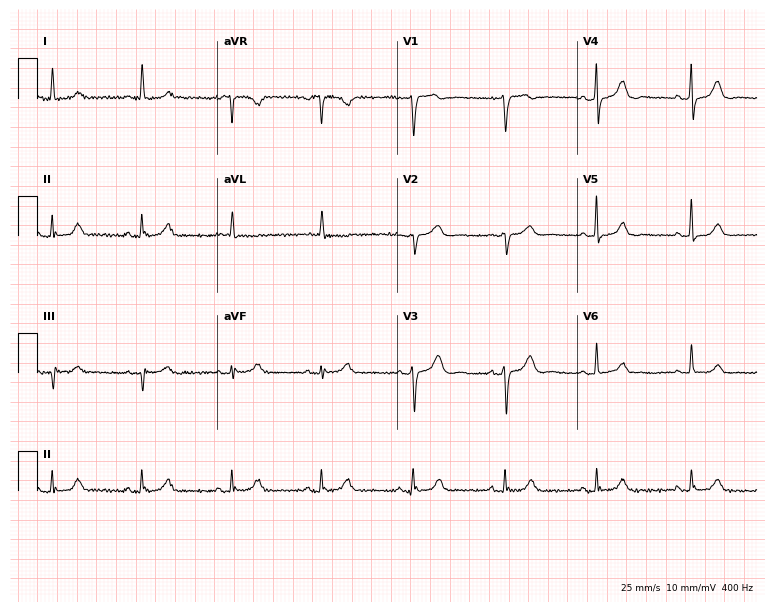
12-lead ECG (7.3-second recording at 400 Hz) from a female patient, 81 years old. Screened for six findings — first-degree AV block, right bundle branch block (RBBB), left bundle branch block (LBBB), sinus bradycardia, atrial fibrillation (AF), sinus tachycardia — none is recorded.